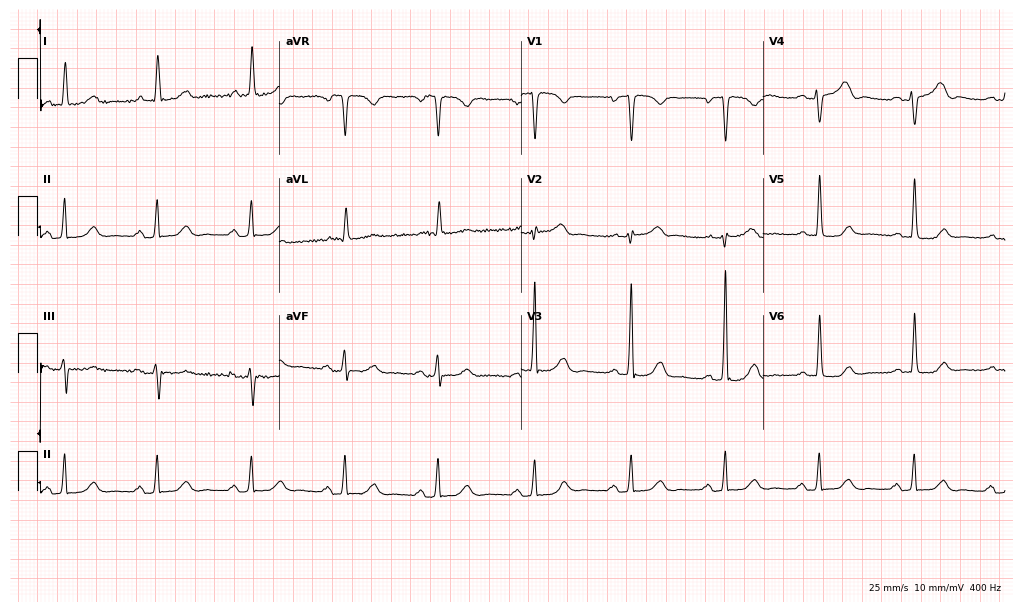
12-lead ECG from a 72-year-old woman. Screened for six findings — first-degree AV block, right bundle branch block (RBBB), left bundle branch block (LBBB), sinus bradycardia, atrial fibrillation (AF), sinus tachycardia — none is recorded.